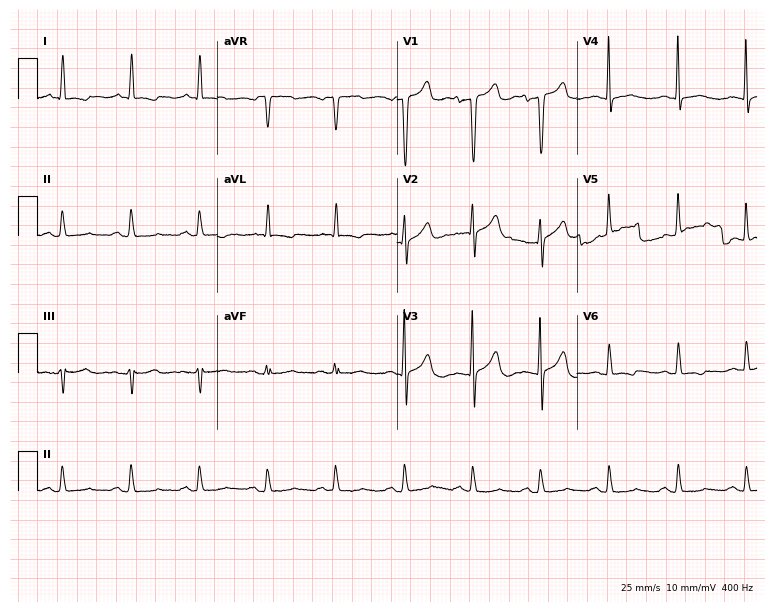
ECG — a 68-year-old male. Screened for six findings — first-degree AV block, right bundle branch block (RBBB), left bundle branch block (LBBB), sinus bradycardia, atrial fibrillation (AF), sinus tachycardia — none is recorded.